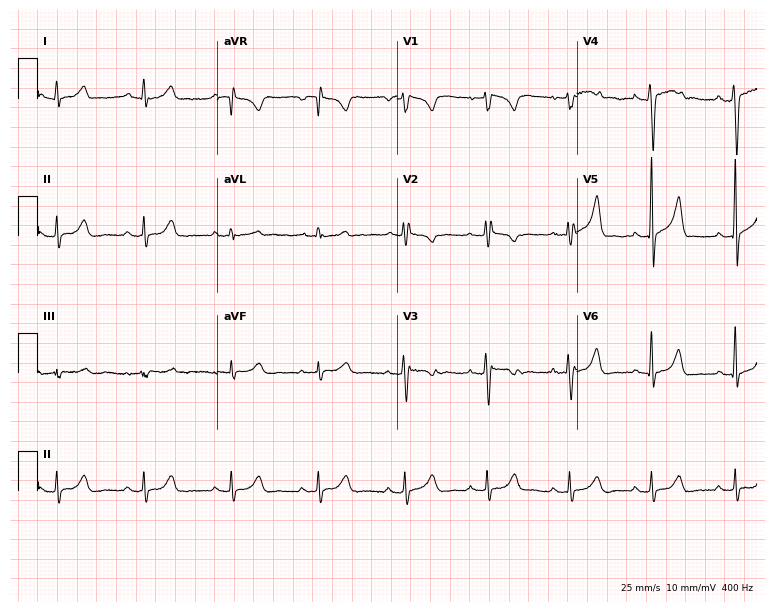
12-lead ECG from a man, 32 years old. Screened for six findings — first-degree AV block, right bundle branch block, left bundle branch block, sinus bradycardia, atrial fibrillation, sinus tachycardia — none is recorded.